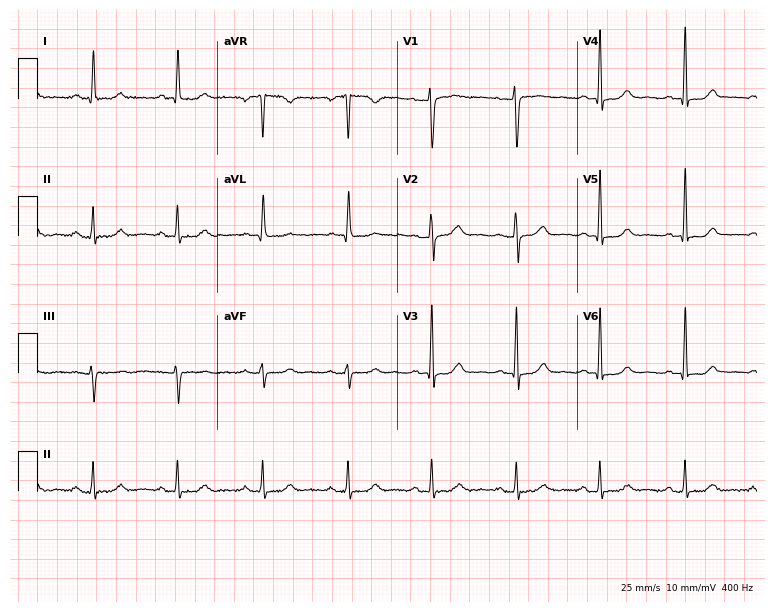
12-lead ECG from a woman, 71 years old. No first-degree AV block, right bundle branch block, left bundle branch block, sinus bradycardia, atrial fibrillation or sinus tachycardia recorded for this tracing.